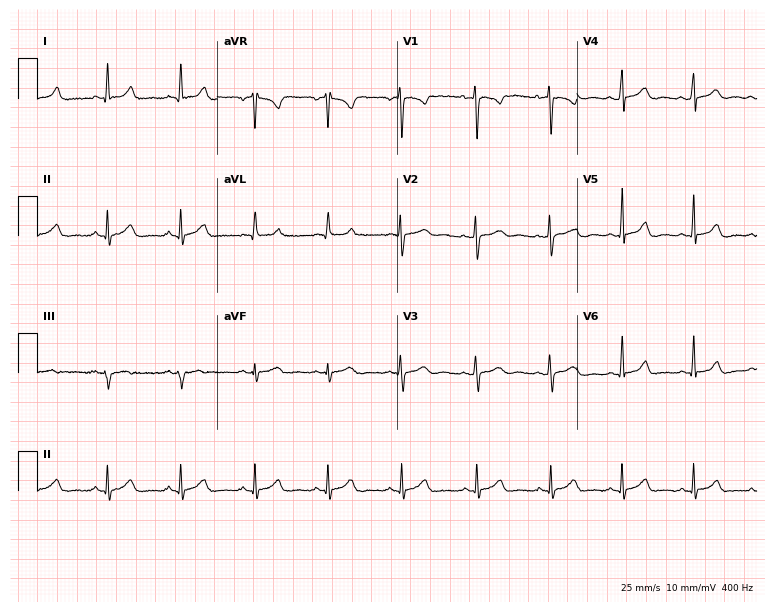
Standard 12-lead ECG recorded from a male, 31 years old (7.3-second recording at 400 Hz). Read as a normal ECG.